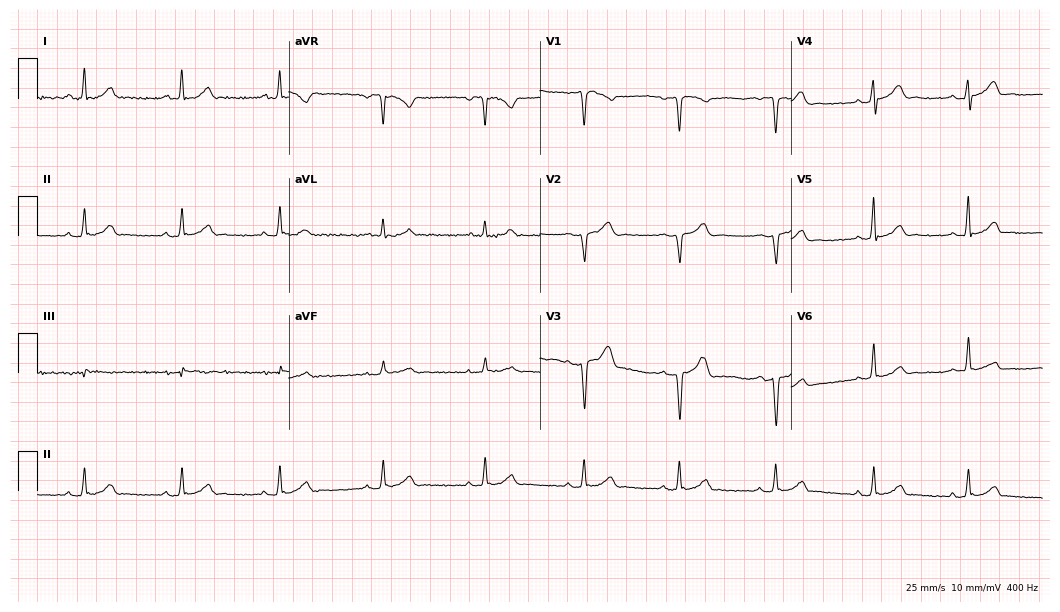
12-lead ECG from a 27-year-old man. Labelled as a normal ECG.